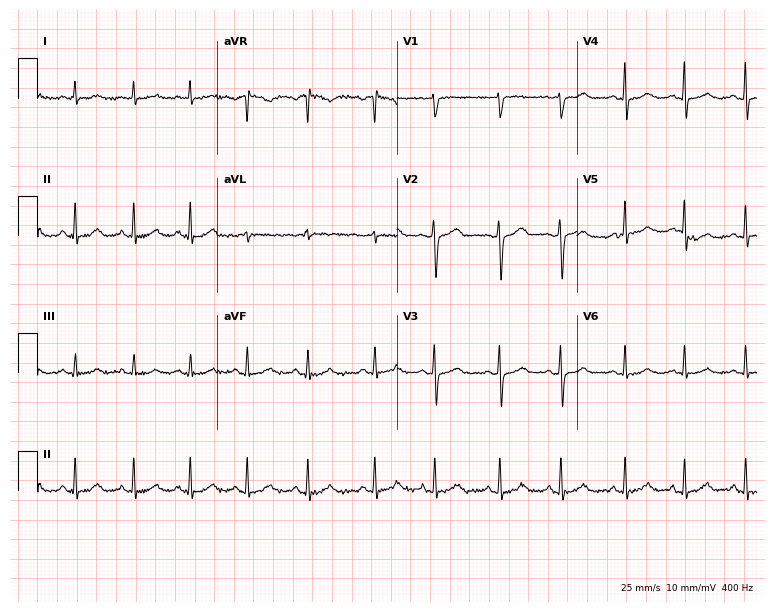
12-lead ECG from a 49-year-old female patient (7.3-second recording at 400 Hz). Recorded interpretation: within normal limits.